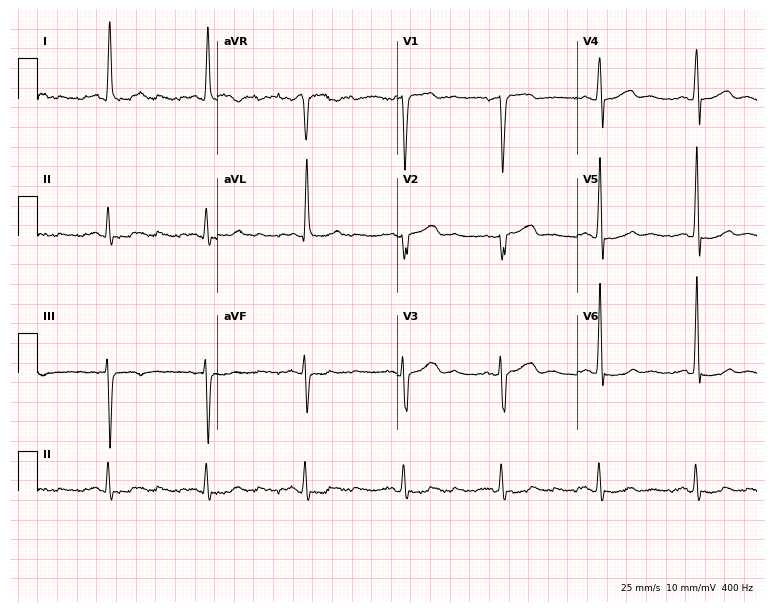
12-lead ECG from a 76-year-old female (7.3-second recording at 400 Hz). No first-degree AV block, right bundle branch block, left bundle branch block, sinus bradycardia, atrial fibrillation or sinus tachycardia recorded for this tracing.